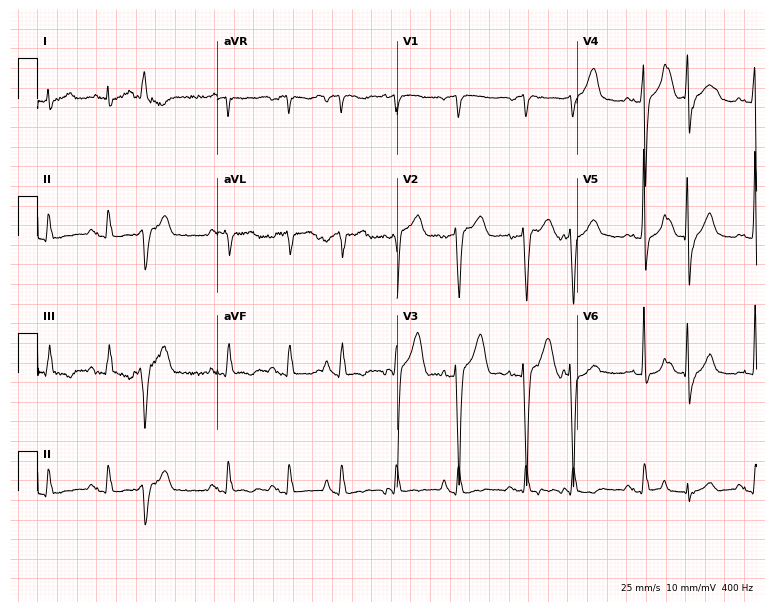
ECG — a man, 71 years old. Screened for six findings — first-degree AV block, right bundle branch block (RBBB), left bundle branch block (LBBB), sinus bradycardia, atrial fibrillation (AF), sinus tachycardia — none is recorded. Only these six findings were labelled.